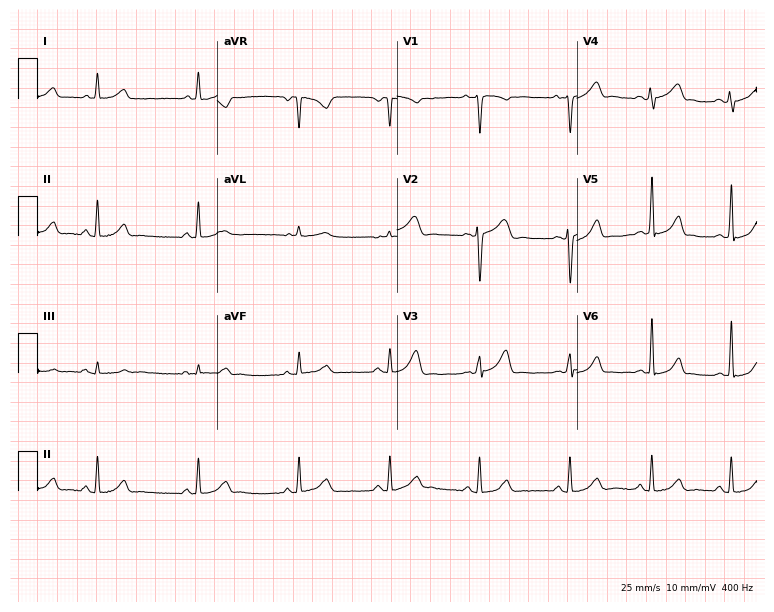
ECG (7.3-second recording at 400 Hz) — a woman, 29 years old. Screened for six findings — first-degree AV block, right bundle branch block, left bundle branch block, sinus bradycardia, atrial fibrillation, sinus tachycardia — none is recorded. Findings outside these six are not listed.